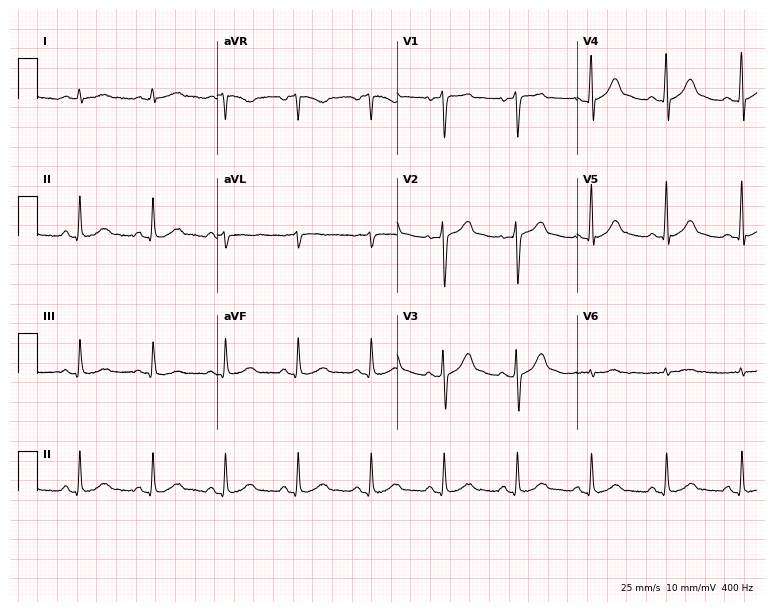
ECG (7.3-second recording at 400 Hz) — a male patient, 58 years old. Labelled as a normal ECG.